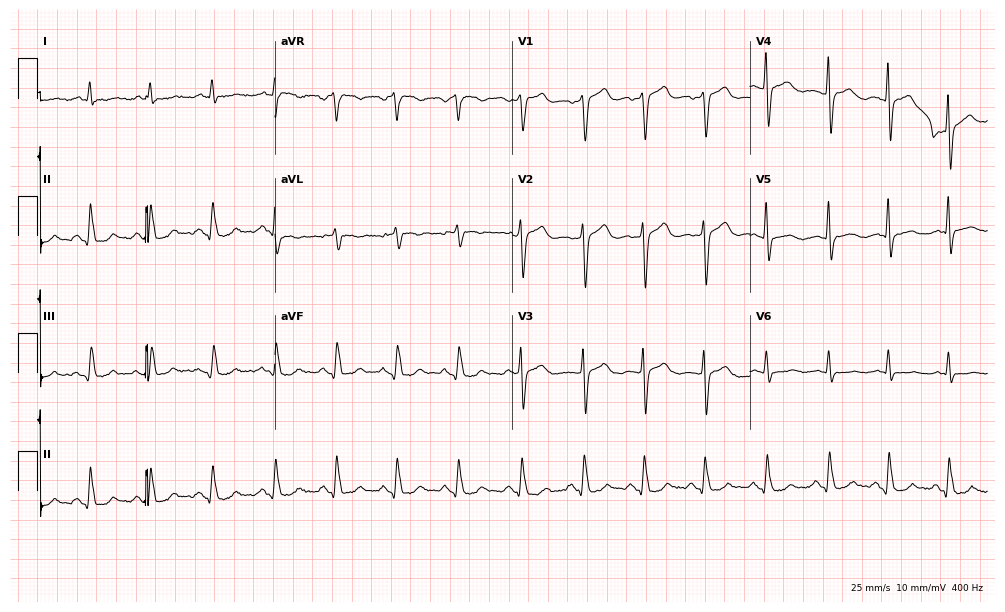
Standard 12-lead ECG recorded from an 83-year-old male (9.7-second recording at 400 Hz). None of these six findings is recorded: first-degree AV block, right bundle branch block, left bundle branch block, sinus bradycardia, atrial fibrillation, sinus tachycardia.